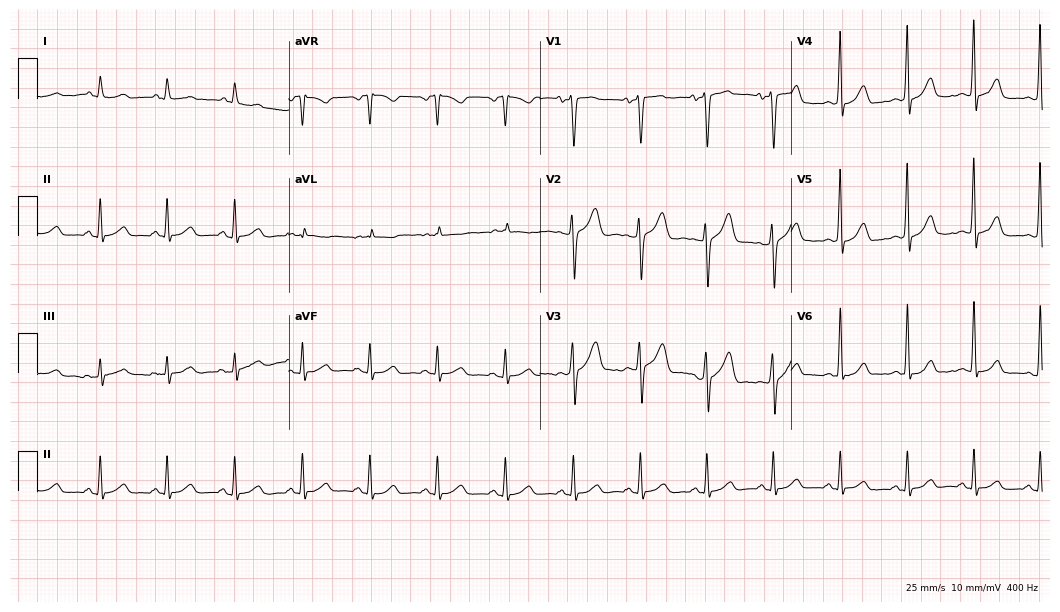
Standard 12-lead ECG recorded from a male patient, 47 years old. Read as a normal ECG.